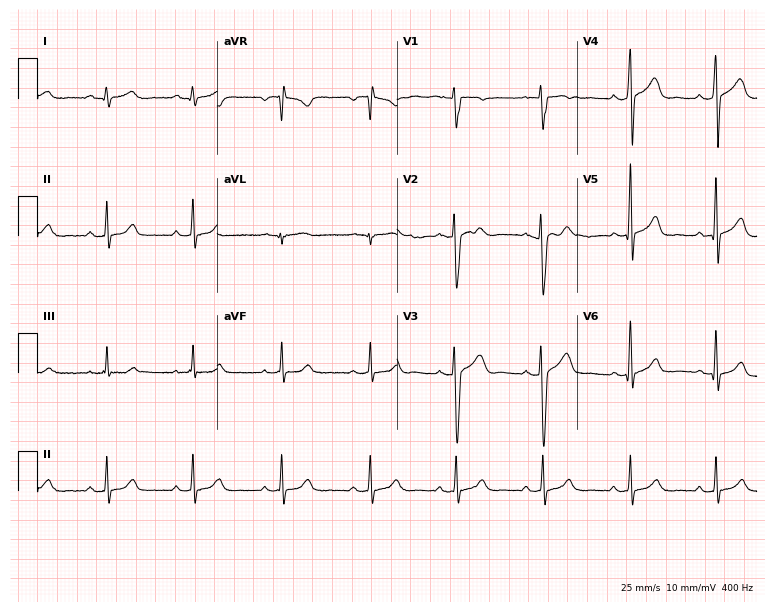
12-lead ECG from a male patient, 33 years old (7.3-second recording at 400 Hz). Recorded interpretation: within normal limits.